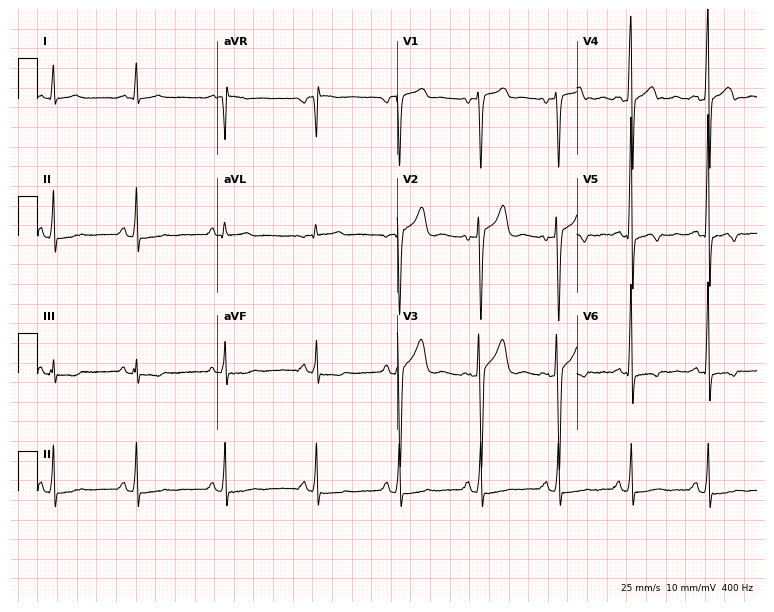
Electrocardiogram (7.3-second recording at 400 Hz), a 47-year-old male patient. Of the six screened findings (first-degree AV block, right bundle branch block, left bundle branch block, sinus bradycardia, atrial fibrillation, sinus tachycardia), none is recorded. Only these six findings were labelled.